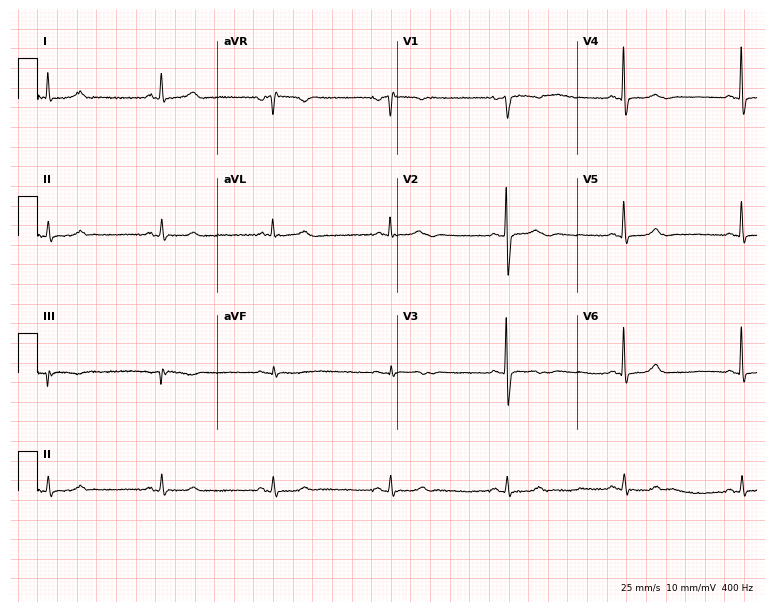
12-lead ECG from a 57-year-old woman. Labelled as a normal ECG.